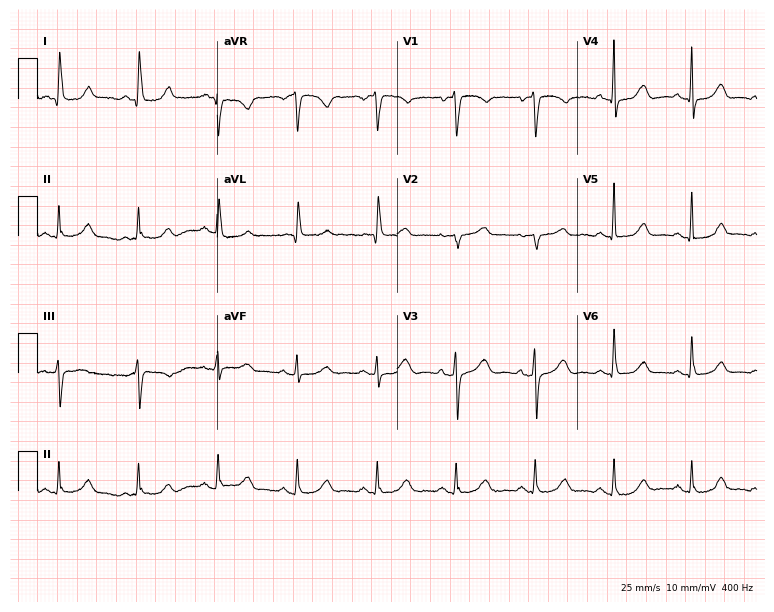
12-lead ECG from a female, 80 years old. Recorded interpretation: within normal limits.